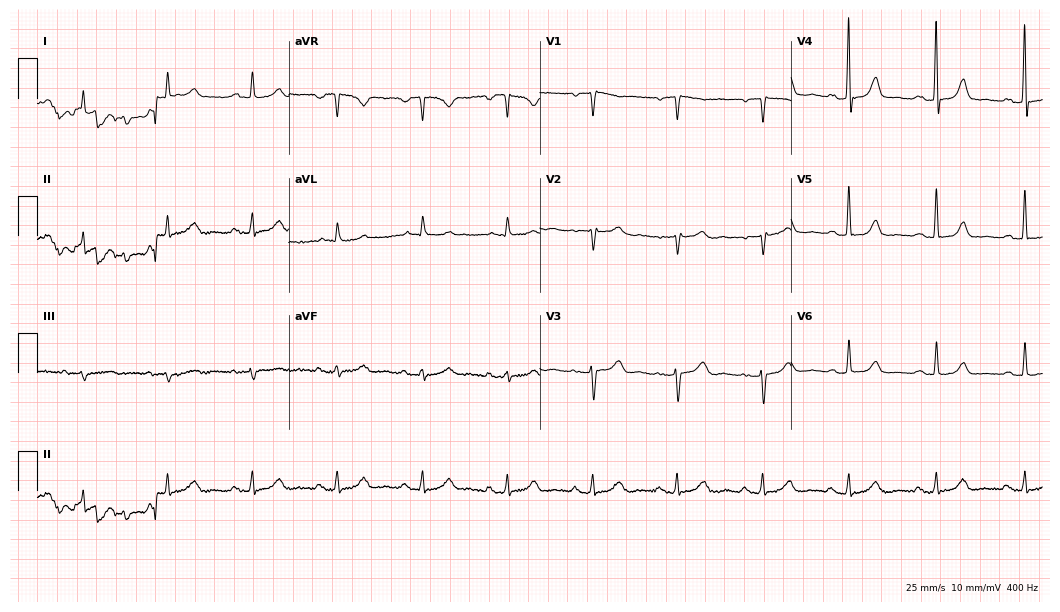
Electrocardiogram (10.2-second recording at 400 Hz), a 61-year-old female. Overall reading on record: normal ECG.